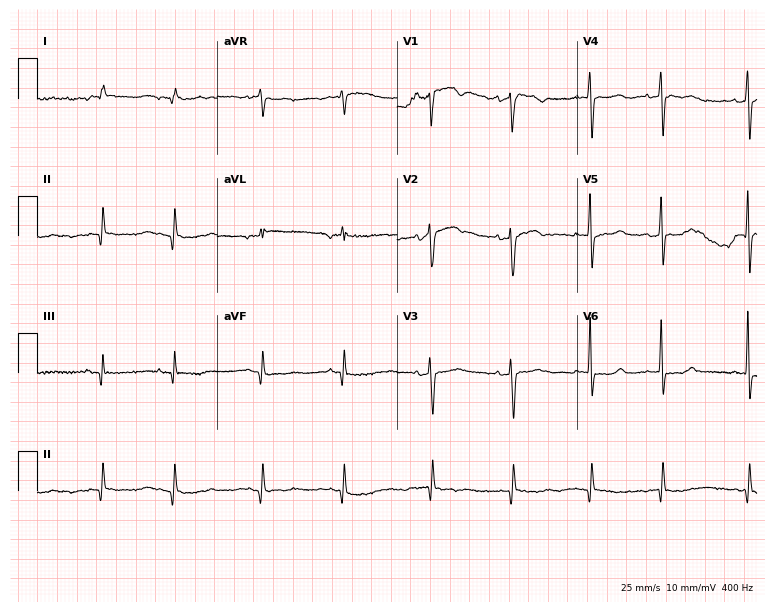
Standard 12-lead ECG recorded from a woman, 74 years old (7.3-second recording at 400 Hz). None of these six findings is recorded: first-degree AV block, right bundle branch block, left bundle branch block, sinus bradycardia, atrial fibrillation, sinus tachycardia. Other findings, if any, are not listed.